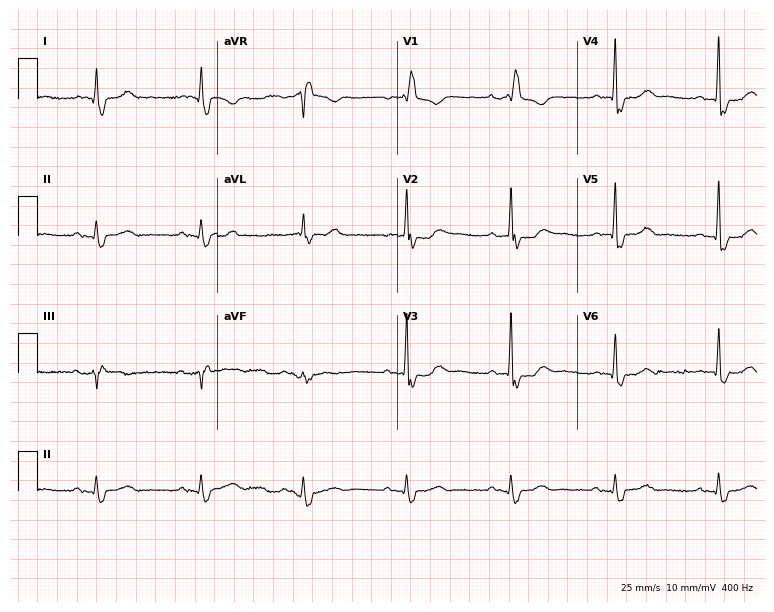
12-lead ECG from an 80-year-old female. Findings include right bundle branch block.